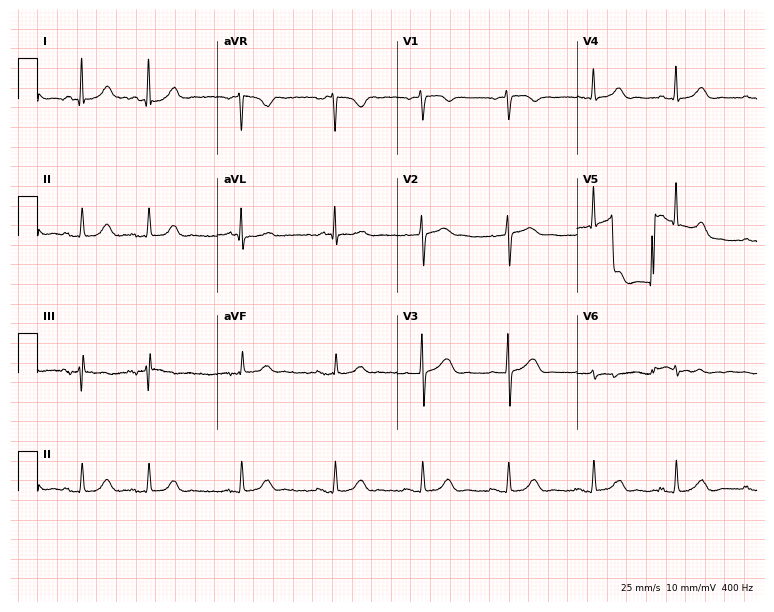
12-lead ECG from a male patient, 65 years old (7.3-second recording at 400 Hz). No first-degree AV block, right bundle branch block, left bundle branch block, sinus bradycardia, atrial fibrillation or sinus tachycardia recorded for this tracing. Findings outside these six are not listed.